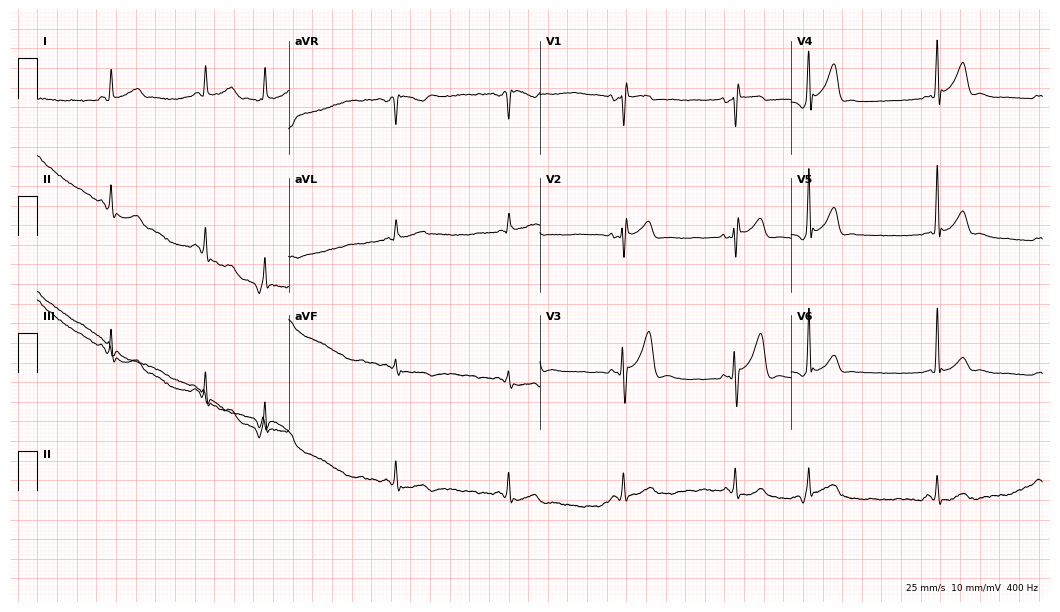
Resting 12-lead electrocardiogram (10.2-second recording at 400 Hz). Patient: a man, 54 years old. Read as a normal ECG.